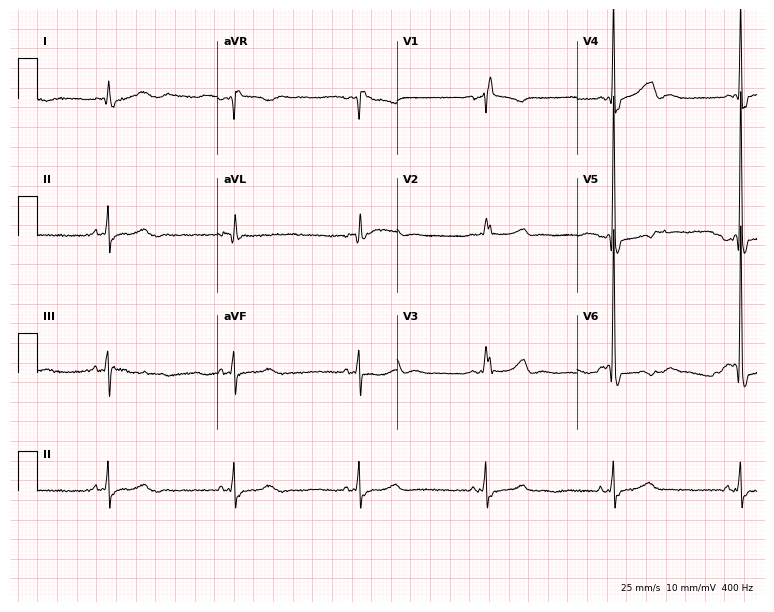
Resting 12-lead electrocardiogram. Patient: a female, 69 years old. The tracing shows right bundle branch block, sinus bradycardia (a sinus rate of 50 beats per minute or less).